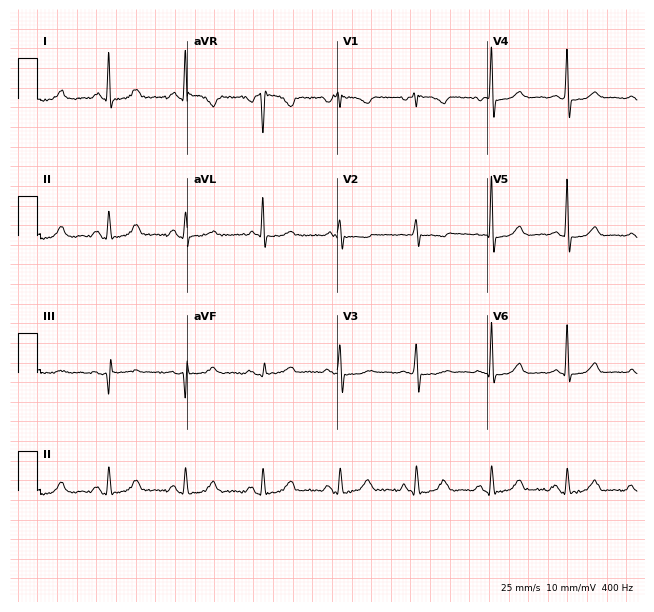
12-lead ECG from a 64-year-old female. Screened for six findings — first-degree AV block, right bundle branch block, left bundle branch block, sinus bradycardia, atrial fibrillation, sinus tachycardia — none is recorded.